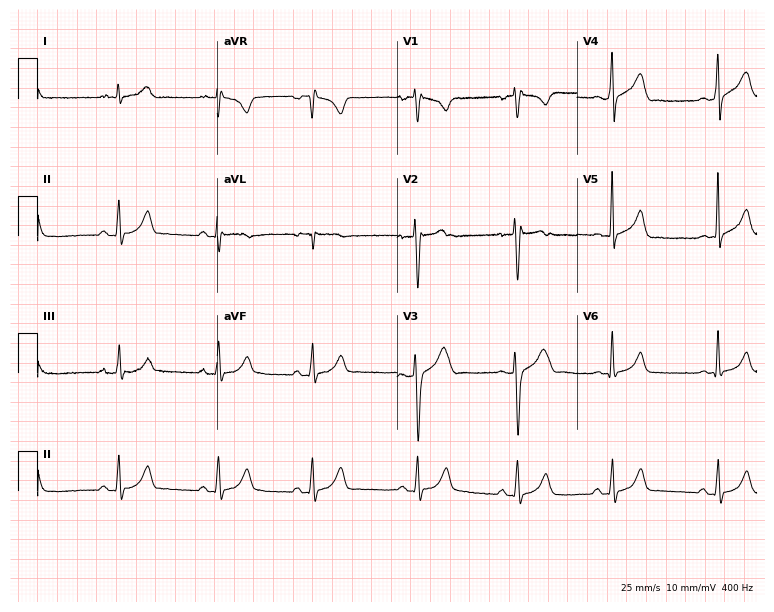
12-lead ECG from a male, 17 years old (7.3-second recording at 400 Hz). No first-degree AV block, right bundle branch block (RBBB), left bundle branch block (LBBB), sinus bradycardia, atrial fibrillation (AF) or sinus tachycardia recorded for this tracing. Other findings, if any, are not listed.